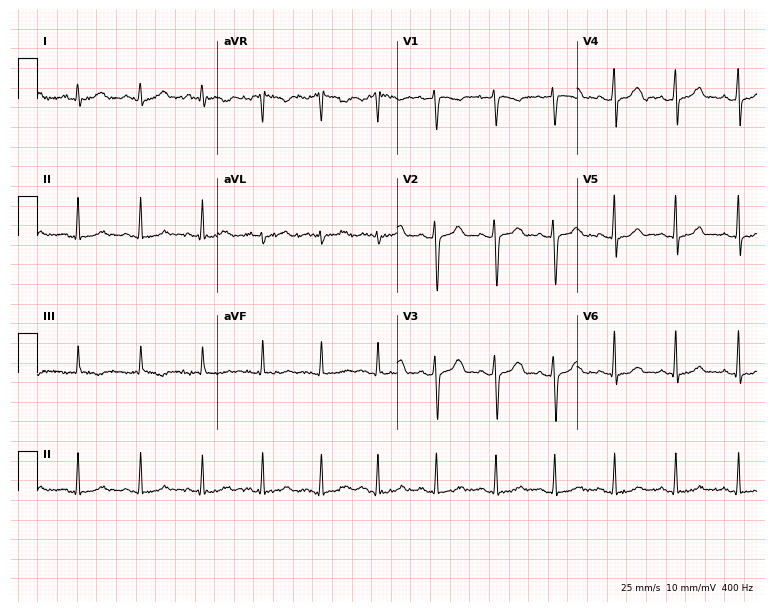
Standard 12-lead ECG recorded from a female, 31 years old. Read as a normal ECG.